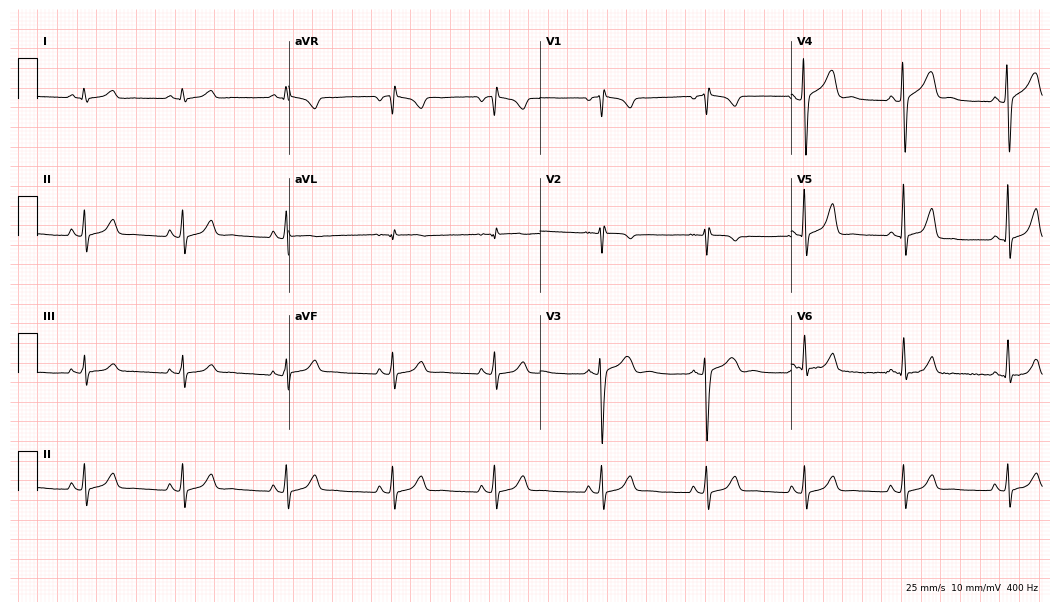
ECG (10.2-second recording at 400 Hz) — a male patient, 17 years old. Screened for six findings — first-degree AV block, right bundle branch block, left bundle branch block, sinus bradycardia, atrial fibrillation, sinus tachycardia — none is recorded.